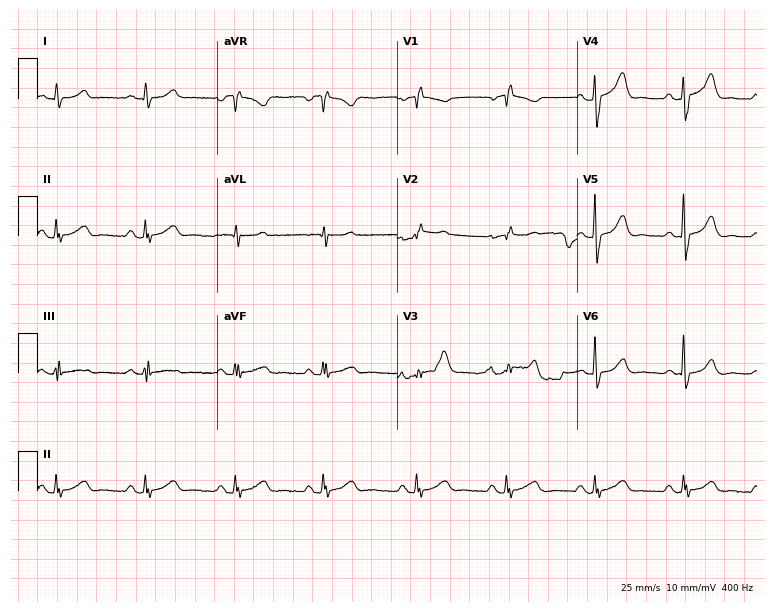
Standard 12-lead ECG recorded from a woman, 77 years old (7.3-second recording at 400 Hz). None of these six findings is recorded: first-degree AV block, right bundle branch block, left bundle branch block, sinus bradycardia, atrial fibrillation, sinus tachycardia.